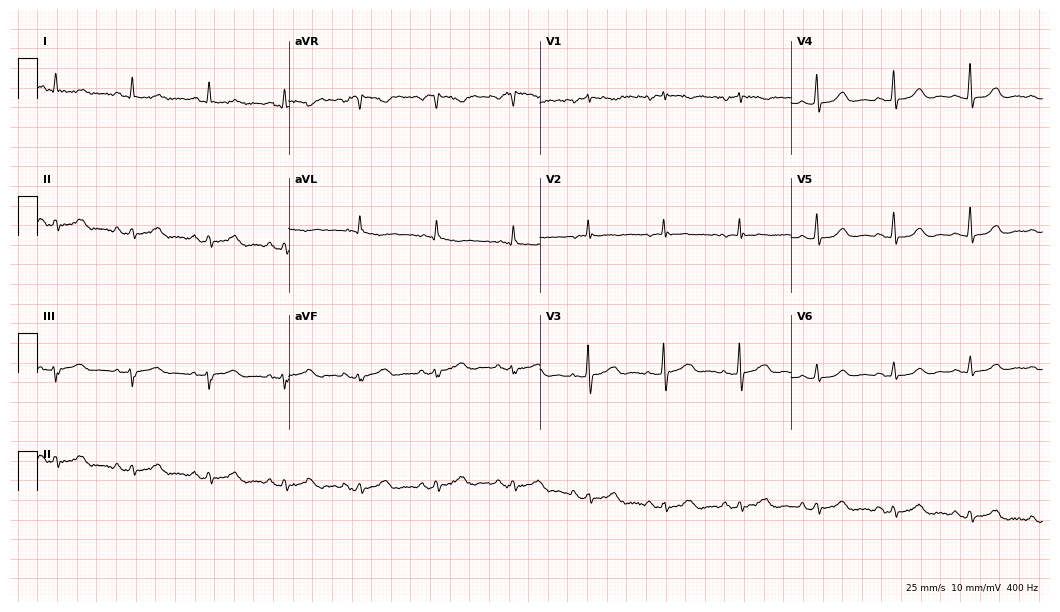
Standard 12-lead ECG recorded from a 66-year-old woman. Read as a normal ECG.